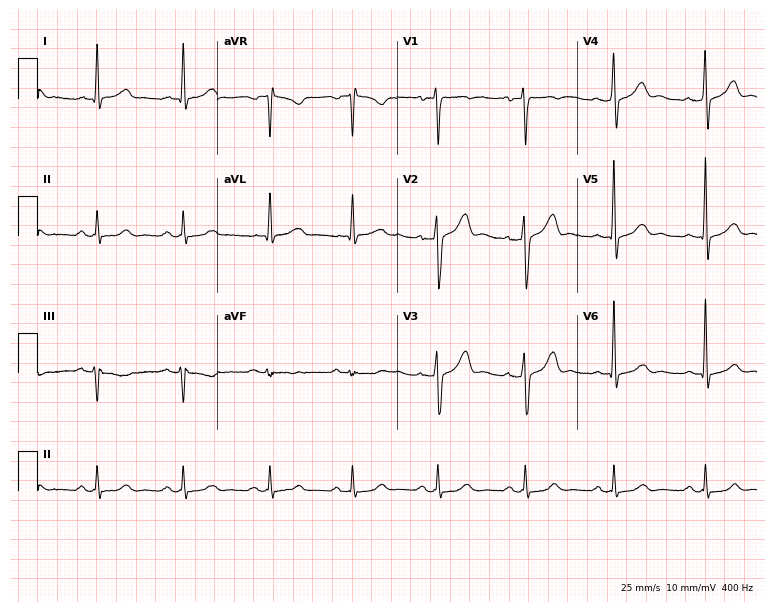
Electrocardiogram, a man, 43 years old. Overall reading on record: normal ECG.